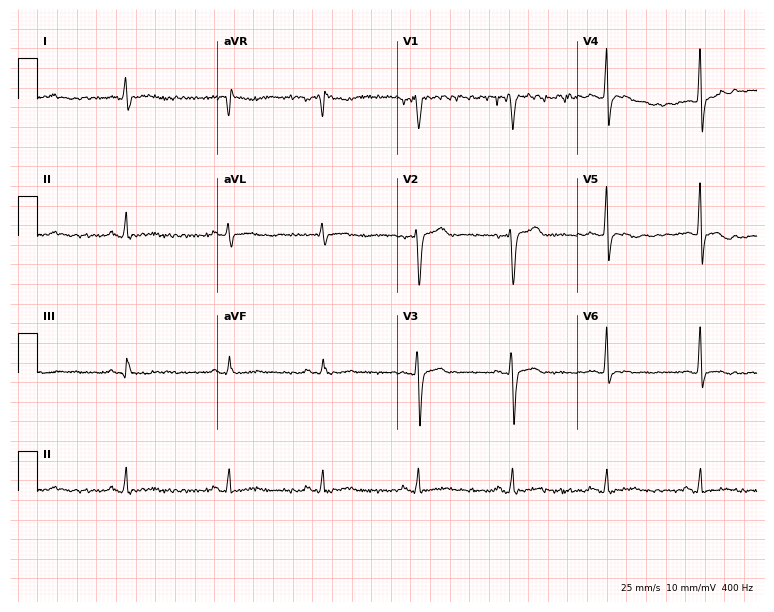
ECG — a male, 46 years old. Screened for six findings — first-degree AV block, right bundle branch block, left bundle branch block, sinus bradycardia, atrial fibrillation, sinus tachycardia — none is recorded.